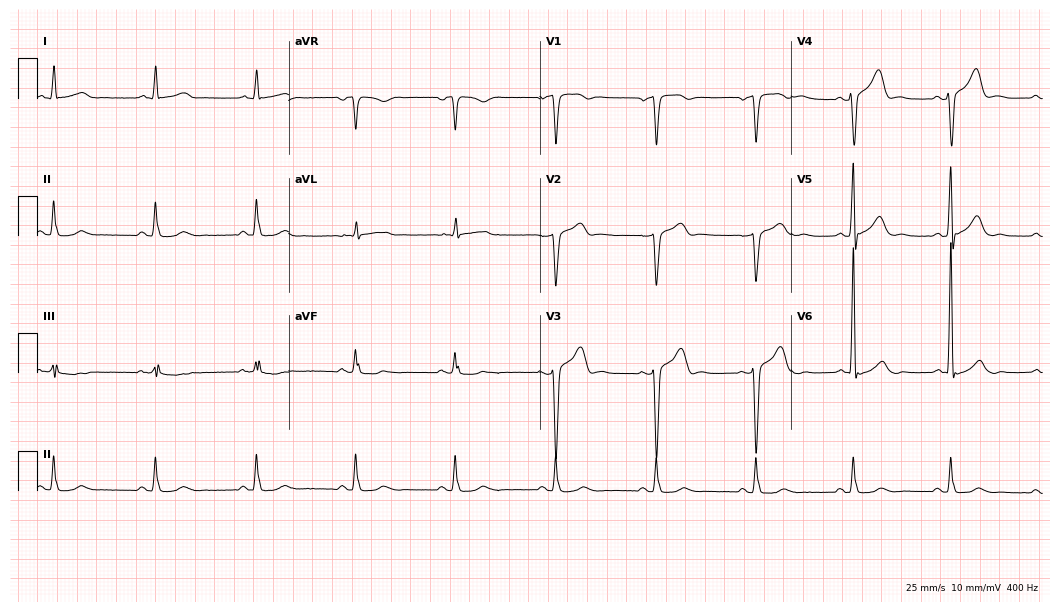
Electrocardiogram (10.2-second recording at 400 Hz), a 48-year-old male. Of the six screened findings (first-degree AV block, right bundle branch block, left bundle branch block, sinus bradycardia, atrial fibrillation, sinus tachycardia), none is recorded.